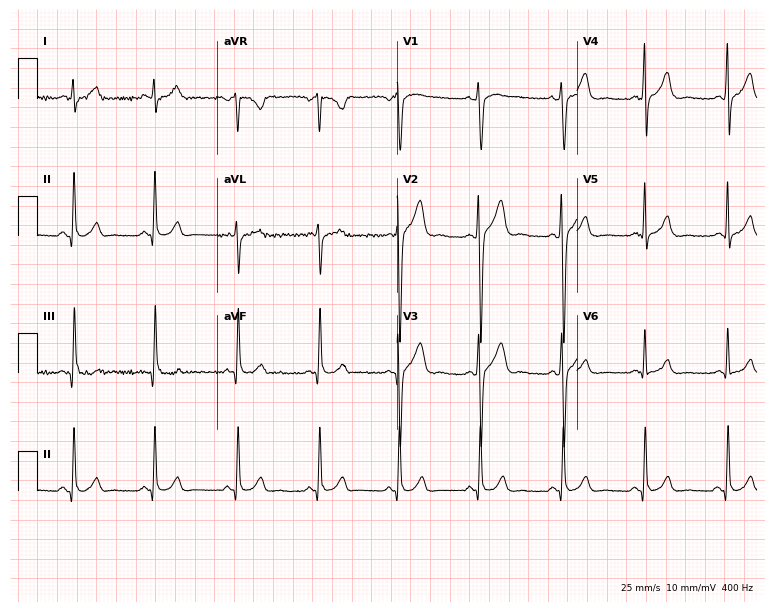
Standard 12-lead ECG recorded from a 27-year-old male patient (7.3-second recording at 400 Hz). None of these six findings is recorded: first-degree AV block, right bundle branch block, left bundle branch block, sinus bradycardia, atrial fibrillation, sinus tachycardia.